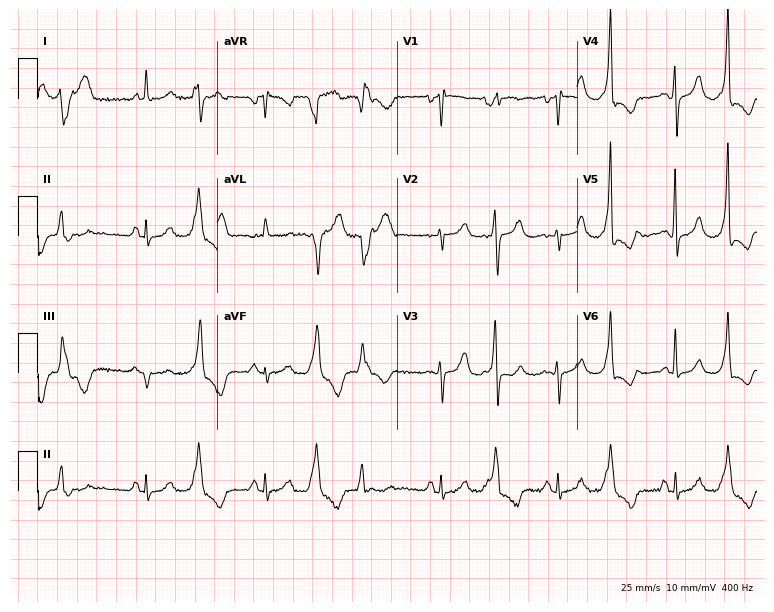
Resting 12-lead electrocardiogram. Patient: an 82-year-old female. None of these six findings is recorded: first-degree AV block, right bundle branch block (RBBB), left bundle branch block (LBBB), sinus bradycardia, atrial fibrillation (AF), sinus tachycardia. Other findings, if any, are not listed.